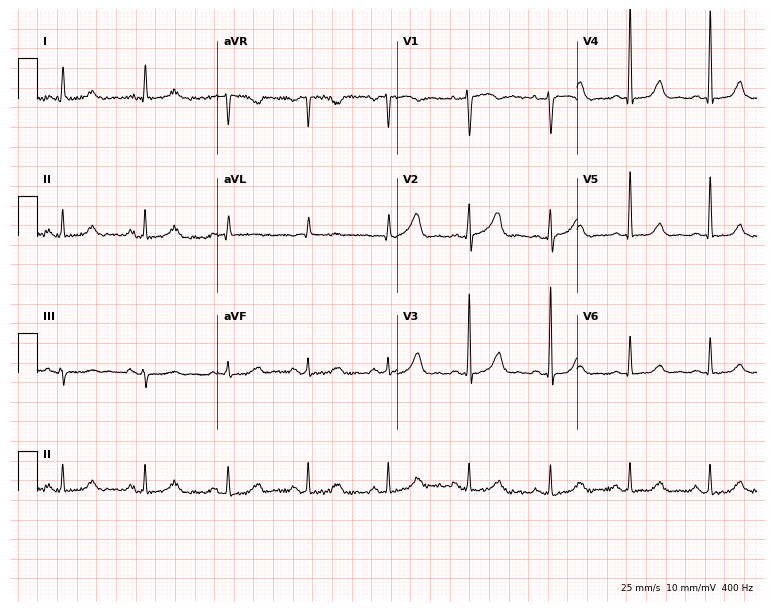
Resting 12-lead electrocardiogram. Patient: a 68-year-old female. None of these six findings is recorded: first-degree AV block, right bundle branch block, left bundle branch block, sinus bradycardia, atrial fibrillation, sinus tachycardia. Only these six findings were labelled.